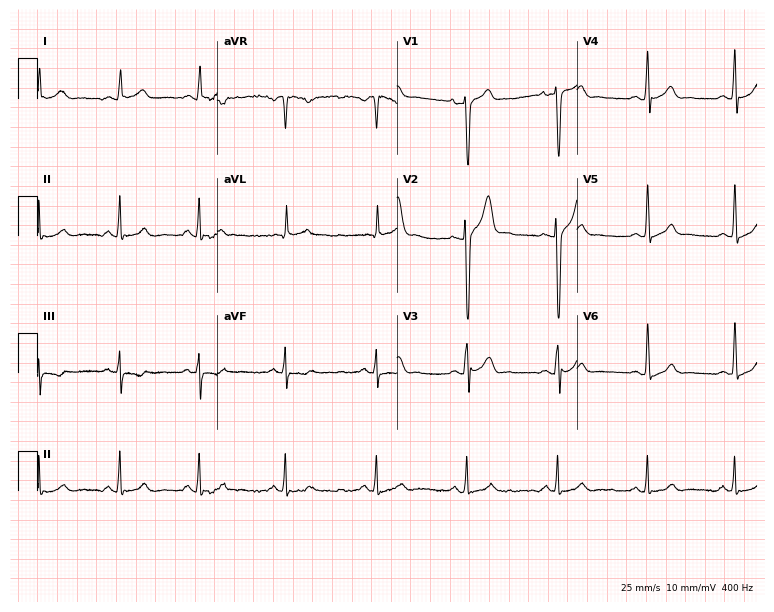
Standard 12-lead ECG recorded from a 28-year-old male. None of these six findings is recorded: first-degree AV block, right bundle branch block (RBBB), left bundle branch block (LBBB), sinus bradycardia, atrial fibrillation (AF), sinus tachycardia. Other findings, if any, are not listed.